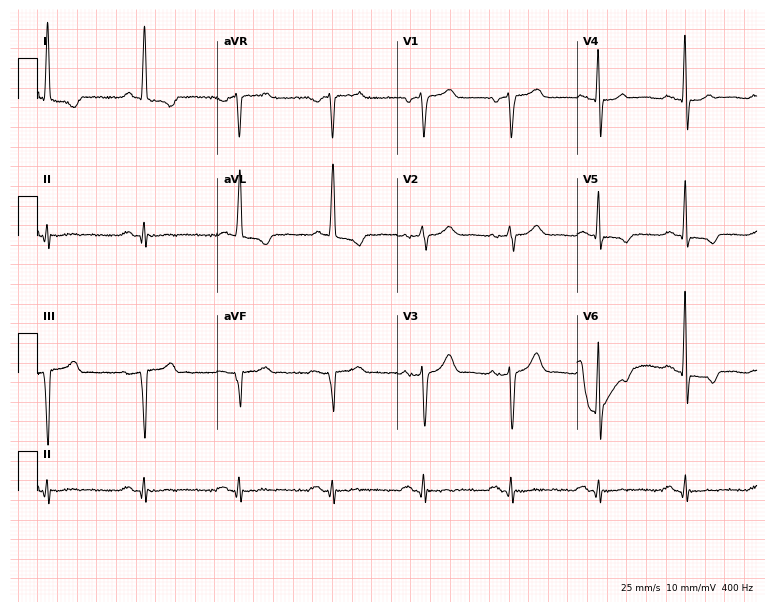
Electrocardiogram, a male, 64 years old. Of the six screened findings (first-degree AV block, right bundle branch block, left bundle branch block, sinus bradycardia, atrial fibrillation, sinus tachycardia), none is recorded. Other findings, if any, are not listed.